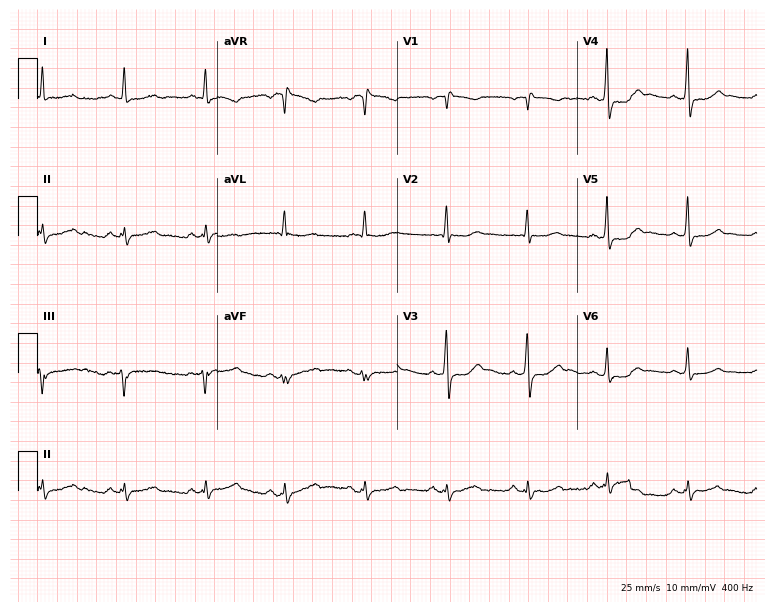
12-lead ECG (7.3-second recording at 400 Hz) from a man, 58 years old. Screened for six findings — first-degree AV block, right bundle branch block, left bundle branch block, sinus bradycardia, atrial fibrillation, sinus tachycardia — none is recorded. Only these six findings were labelled.